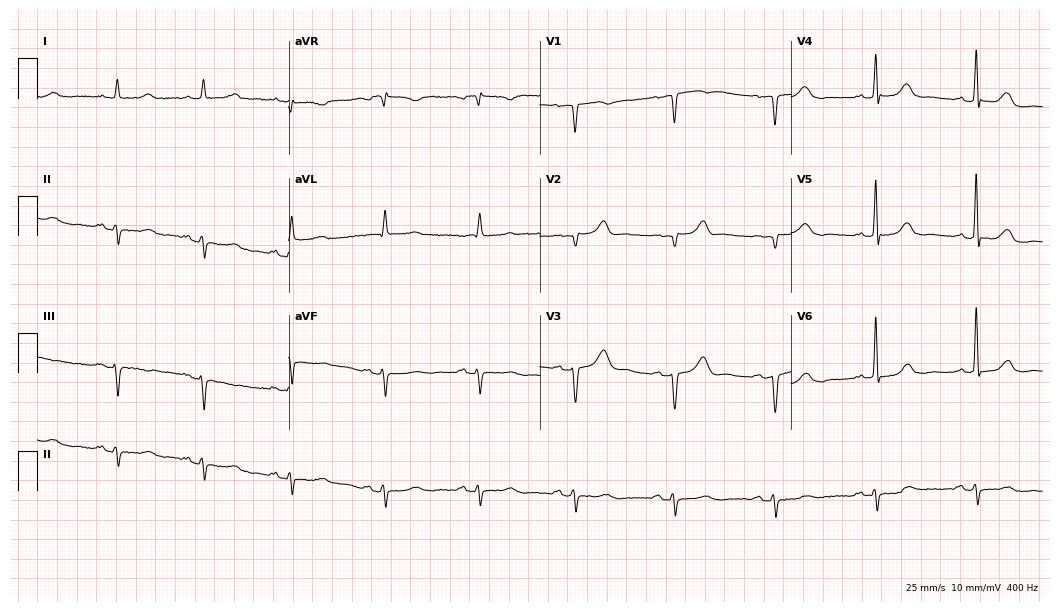
Standard 12-lead ECG recorded from an 80-year-old female. None of these six findings is recorded: first-degree AV block, right bundle branch block, left bundle branch block, sinus bradycardia, atrial fibrillation, sinus tachycardia. Other findings, if any, are not listed.